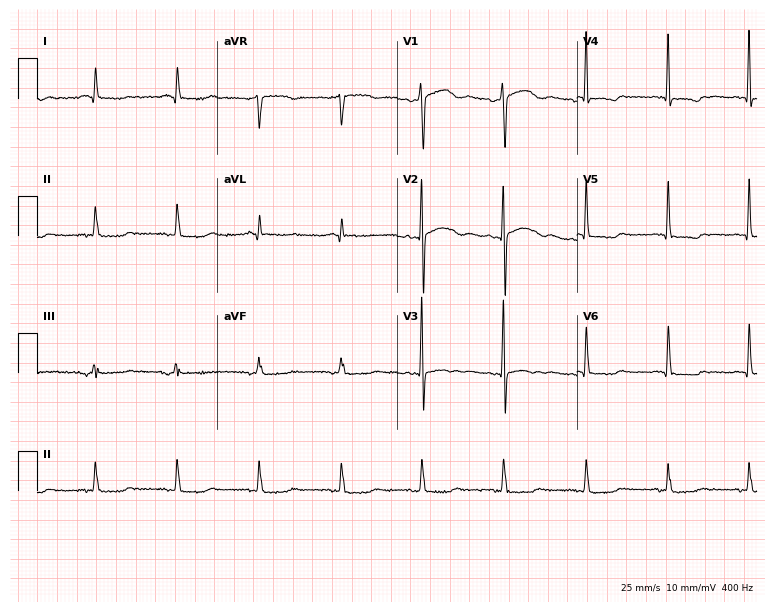
Resting 12-lead electrocardiogram. Patient: a 77-year-old male. None of these six findings is recorded: first-degree AV block, right bundle branch block, left bundle branch block, sinus bradycardia, atrial fibrillation, sinus tachycardia. Findings outside these six are not listed.